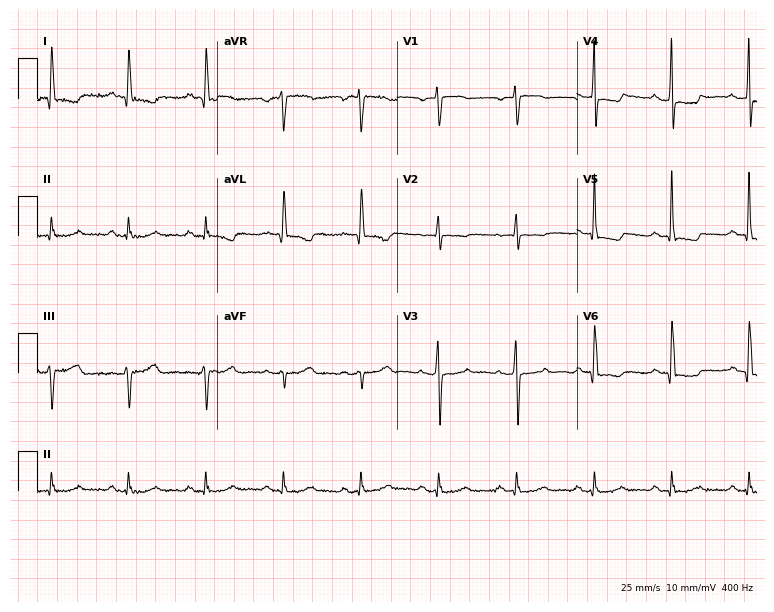
Standard 12-lead ECG recorded from a 57-year-old female (7.3-second recording at 400 Hz). None of these six findings is recorded: first-degree AV block, right bundle branch block, left bundle branch block, sinus bradycardia, atrial fibrillation, sinus tachycardia.